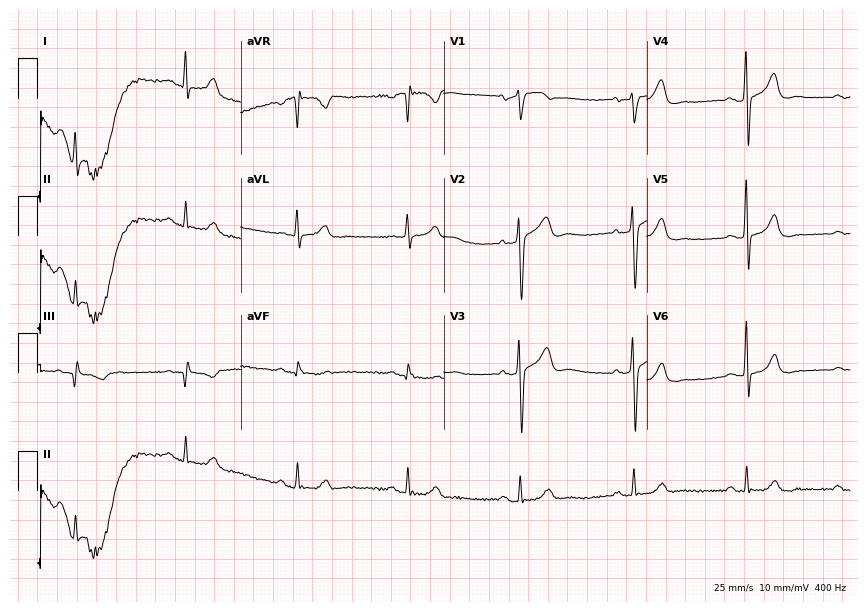
ECG (8.3-second recording at 400 Hz) — a 60-year-old male patient. Labelled as a normal ECG.